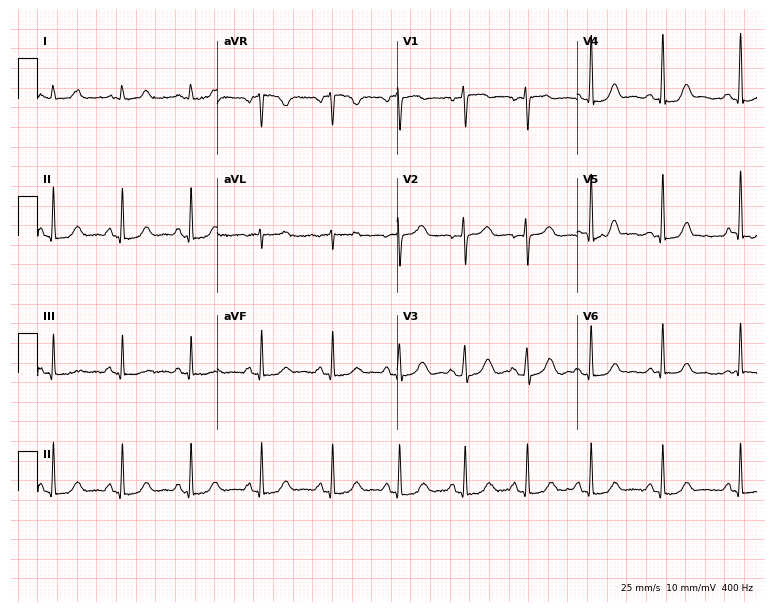
ECG — a 51-year-old woman. Labelled as a normal ECG.